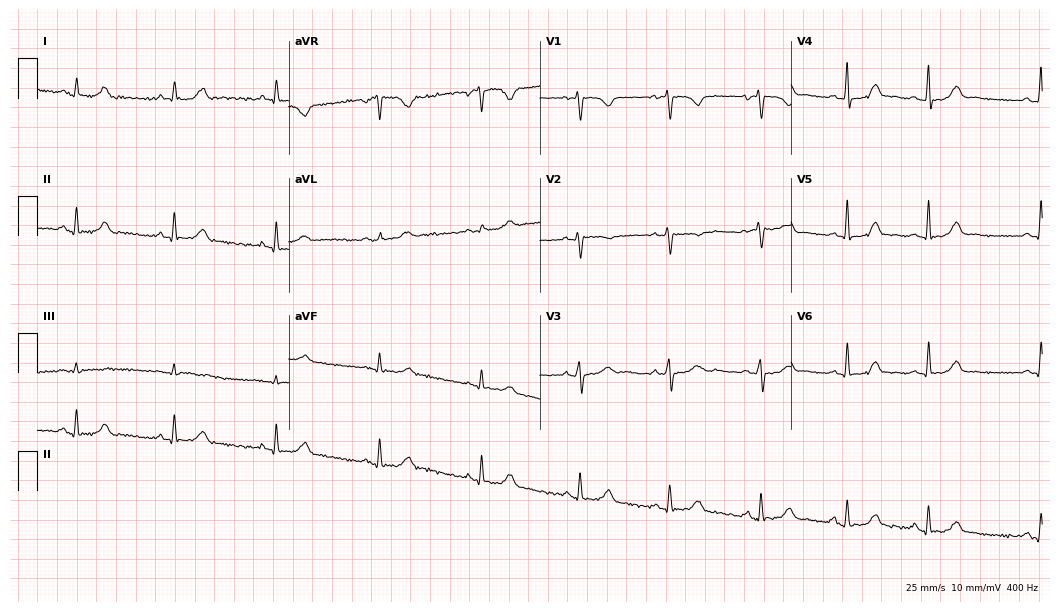
Resting 12-lead electrocardiogram (10.2-second recording at 400 Hz). Patient: a woman, 32 years old. Read as a normal ECG.